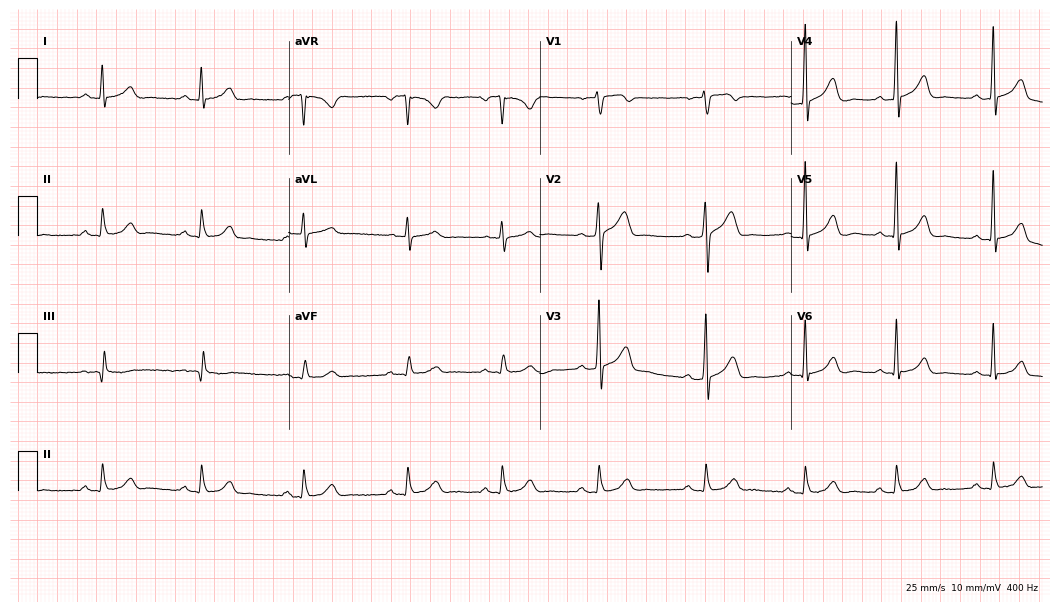
ECG — a 48-year-old man. Labelled as a normal ECG.